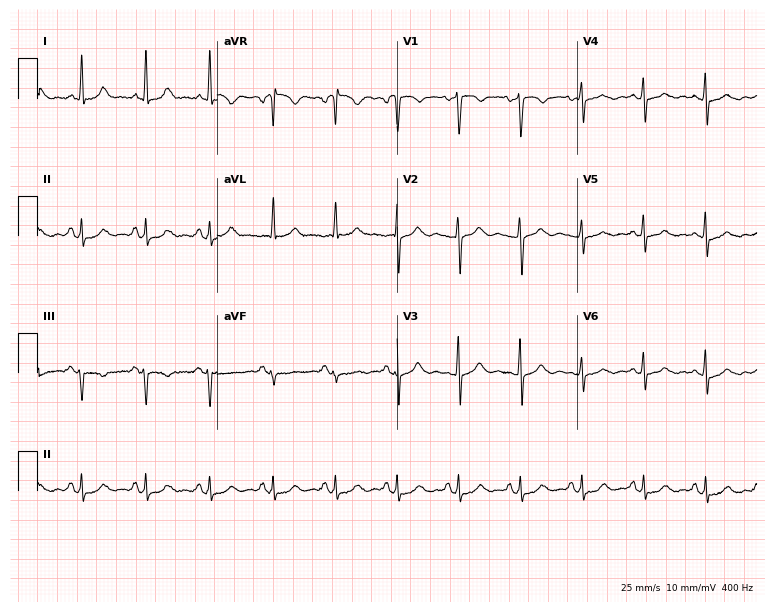
12-lead ECG from a female, 40 years old. Labelled as a normal ECG.